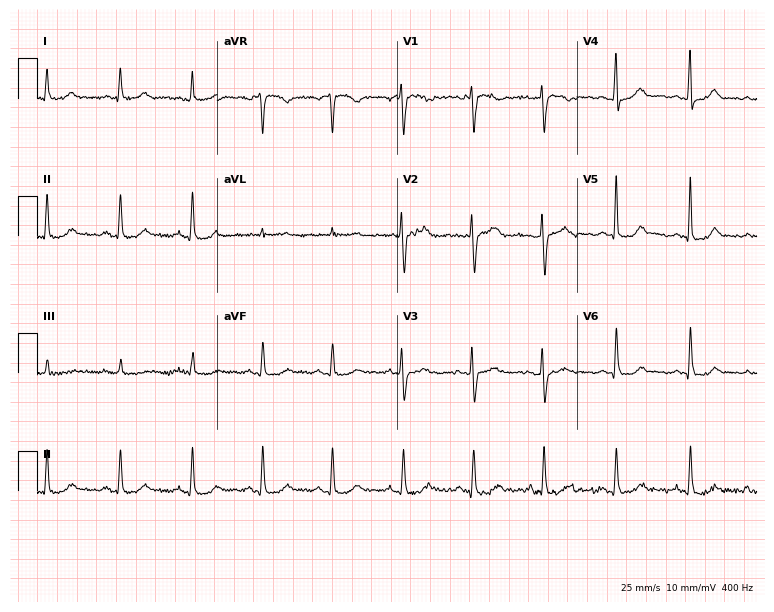
ECG — a 39-year-old woman. Screened for six findings — first-degree AV block, right bundle branch block (RBBB), left bundle branch block (LBBB), sinus bradycardia, atrial fibrillation (AF), sinus tachycardia — none is recorded.